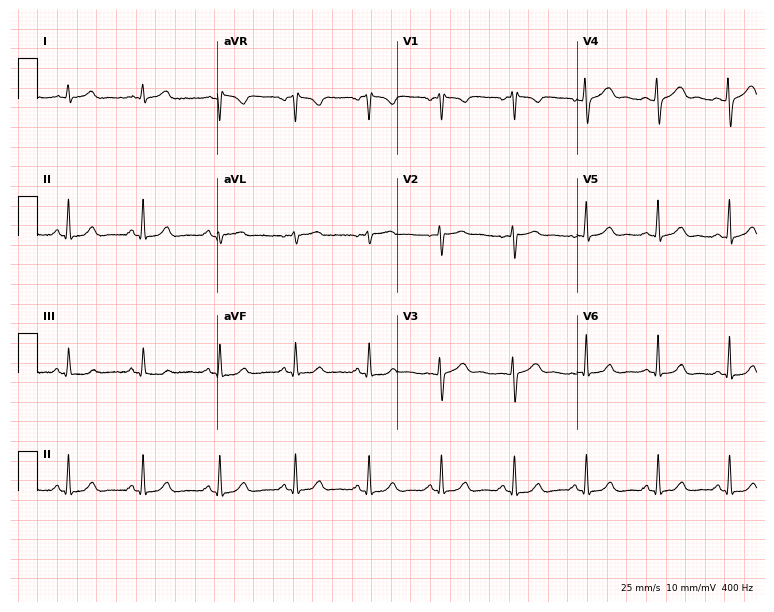
Standard 12-lead ECG recorded from a female, 32 years old (7.3-second recording at 400 Hz). Read as a normal ECG.